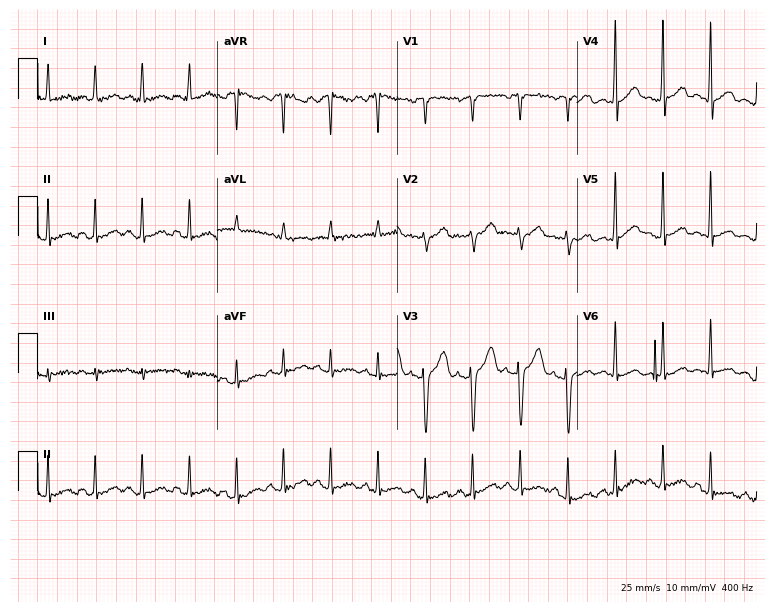
ECG — a 63-year-old woman. Findings include sinus tachycardia (a sinus rate of 100 beats per minute or more).